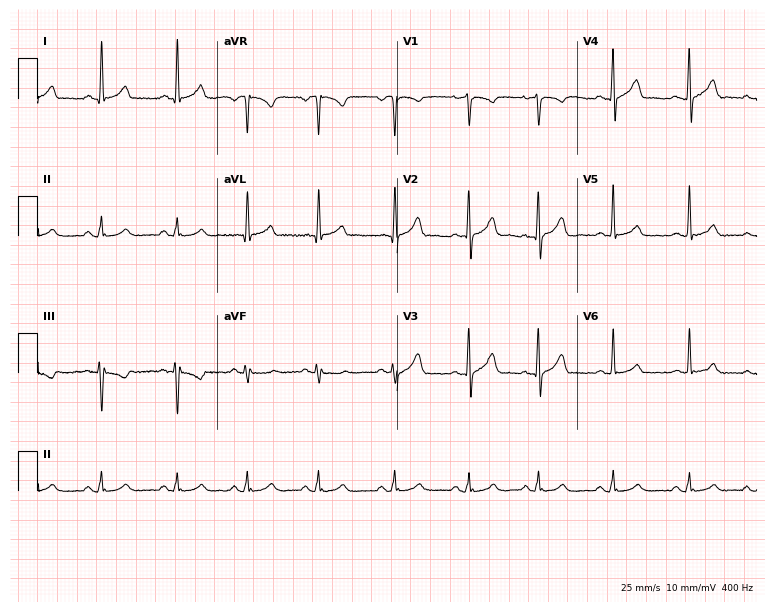
12-lead ECG (7.3-second recording at 400 Hz) from a 46-year-old female. Screened for six findings — first-degree AV block, right bundle branch block (RBBB), left bundle branch block (LBBB), sinus bradycardia, atrial fibrillation (AF), sinus tachycardia — none is recorded.